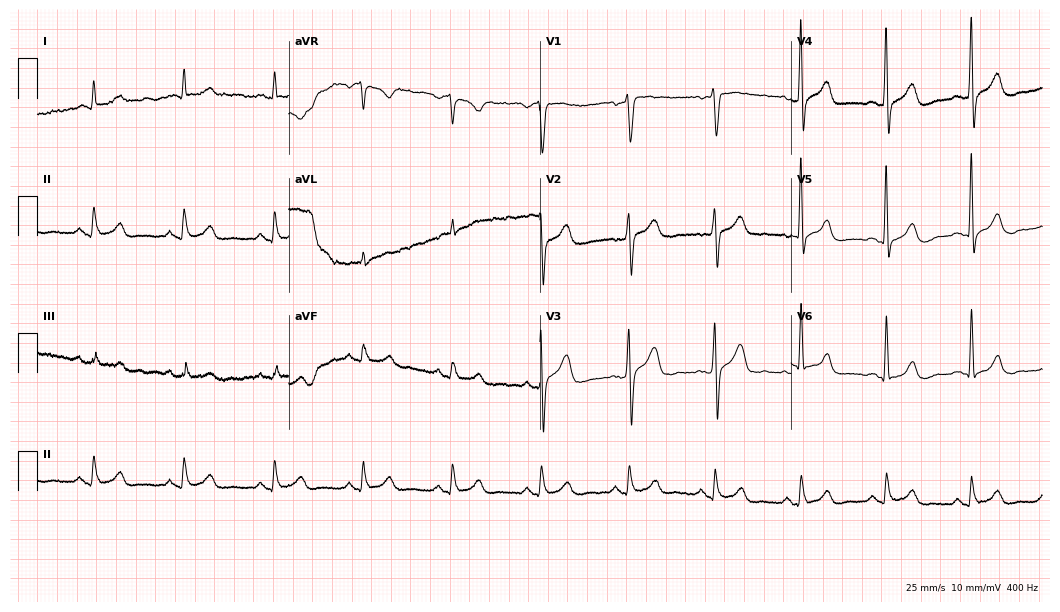
Resting 12-lead electrocardiogram (10.2-second recording at 400 Hz). Patient: a 43-year-old male. Read as a normal ECG.